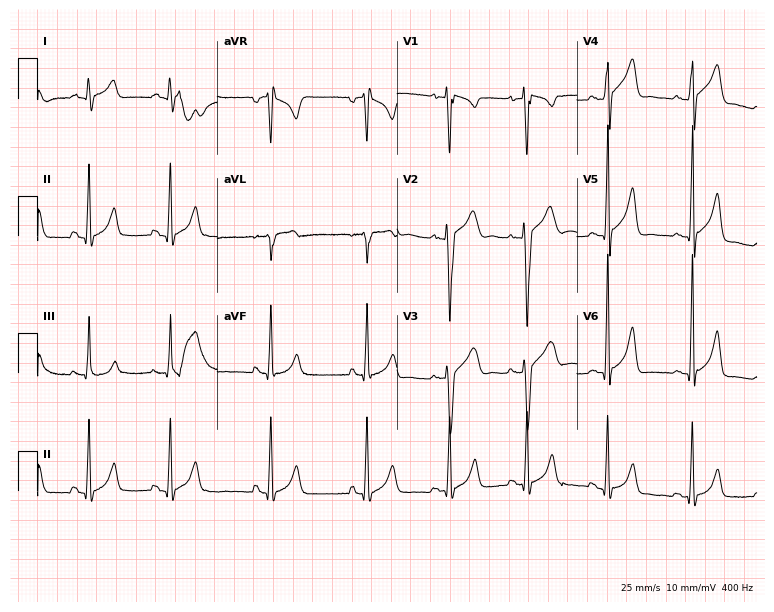
12-lead ECG from a 21-year-old male patient. Screened for six findings — first-degree AV block, right bundle branch block, left bundle branch block, sinus bradycardia, atrial fibrillation, sinus tachycardia — none is recorded.